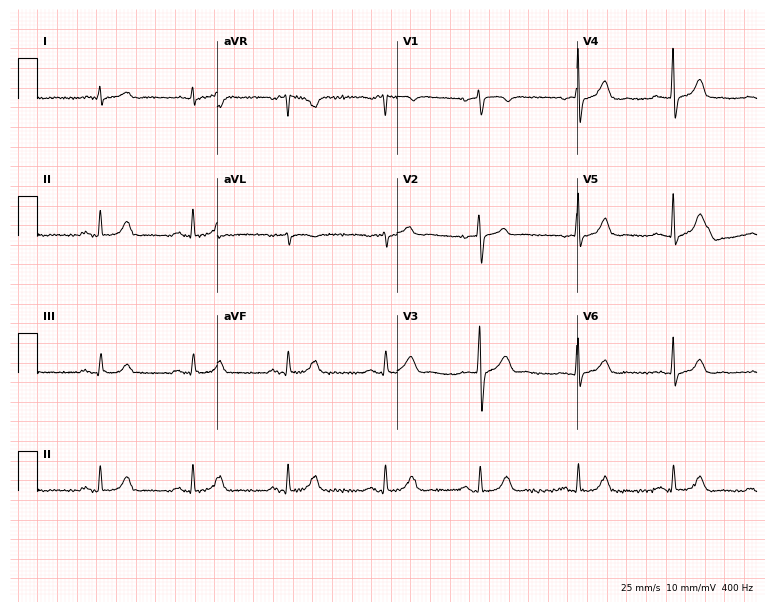
12-lead ECG (7.3-second recording at 400 Hz) from a man, 59 years old. Labelled as a normal ECG.